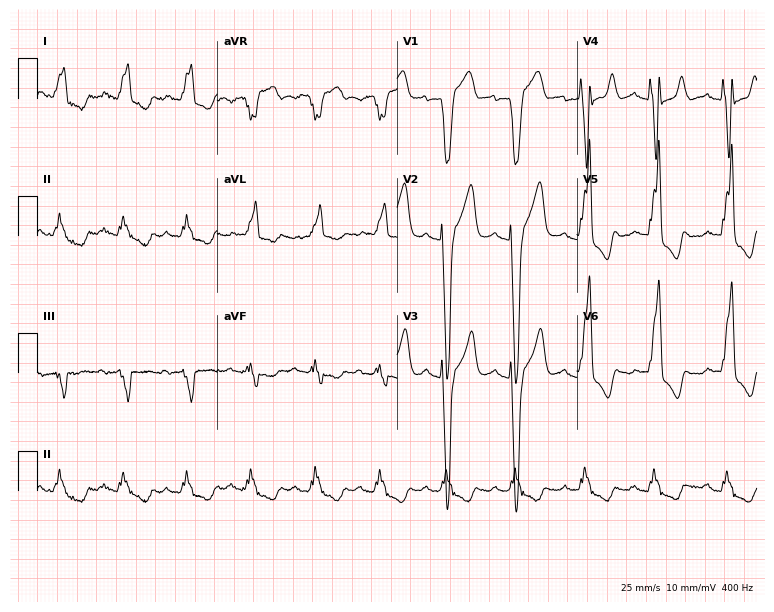
12-lead ECG from a male, 79 years old. Shows left bundle branch block.